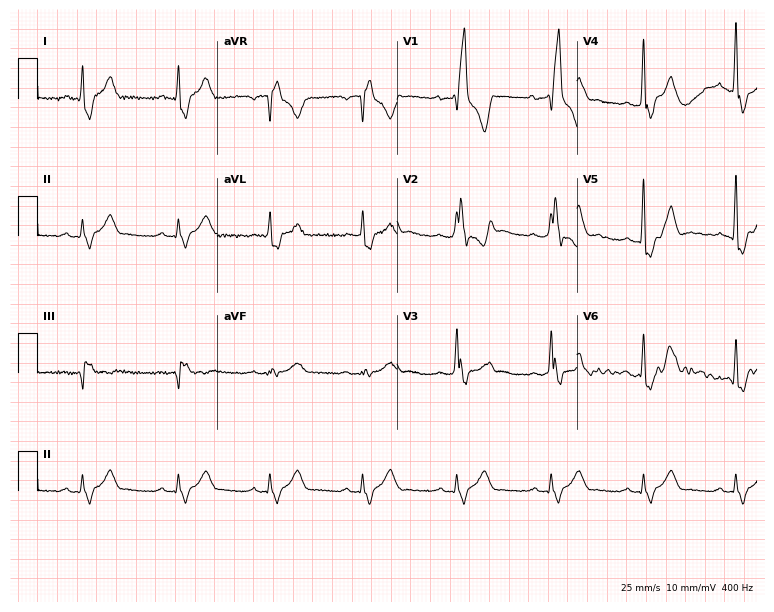
12-lead ECG from a man, 58 years old. Shows right bundle branch block (RBBB).